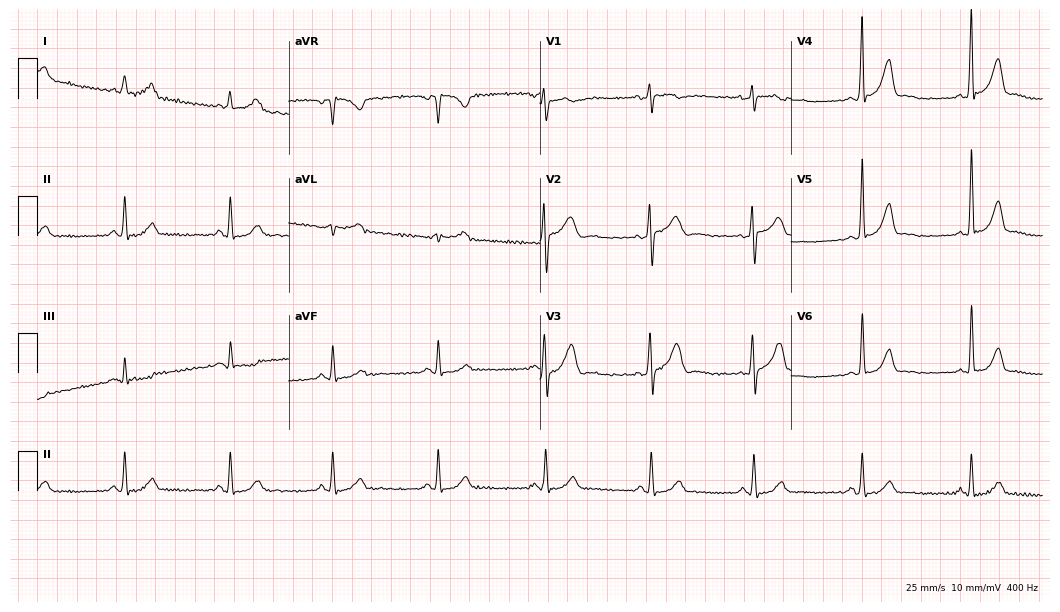
Electrocardiogram (10.2-second recording at 400 Hz), a 44-year-old male patient. Of the six screened findings (first-degree AV block, right bundle branch block, left bundle branch block, sinus bradycardia, atrial fibrillation, sinus tachycardia), none is recorded. Only these six findings were labelled.